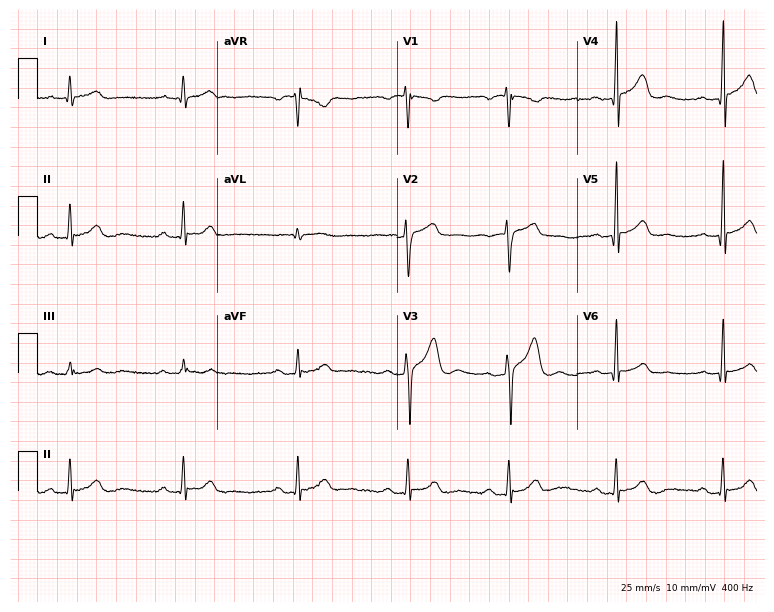
Standard 12-lead ECG recorded from a man, 69 years old. None of these six findings is recorded: first-degree AV block, right bundle branch block (RBBB), left bundle branch block (LBBB), sinus bradycardia, atrial fibrillation (AF), sinus tachycardia.